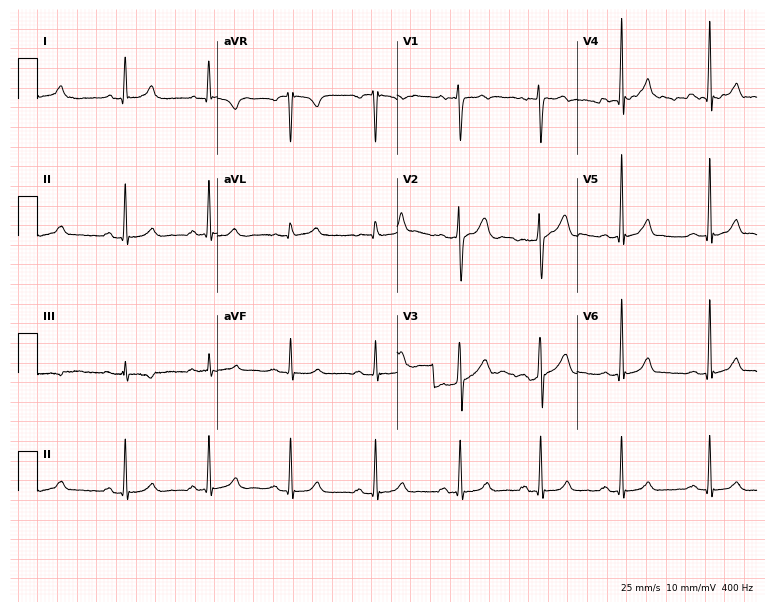
12-lead ECG from a 37-year-old male. Labelled as a normal ECG.